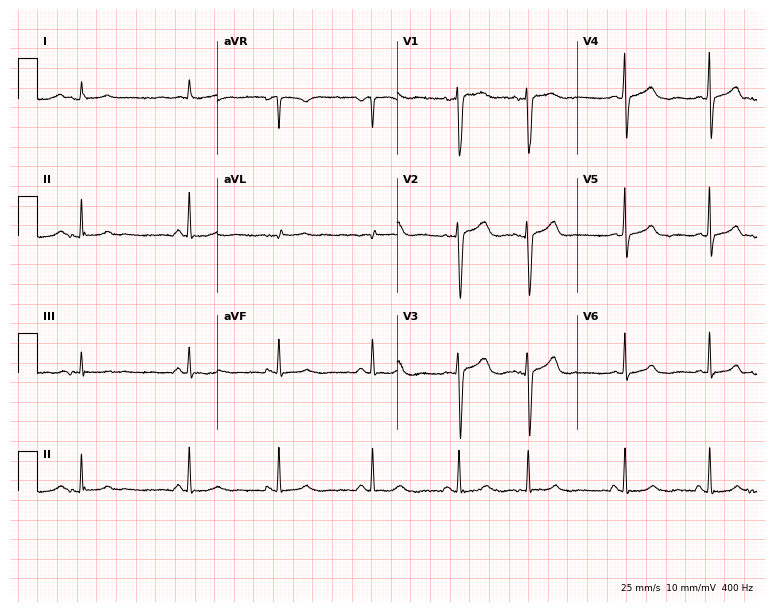
Standard 12-lead ECG recorded from a male patient, 73 years old. None of these six findings is recorded: first-degree AV block, right bundle branch block (RBBB), left bundle branch block (LBBB), sinus bradycardia, atrial fibrillation (AF), sinus tachycardia.